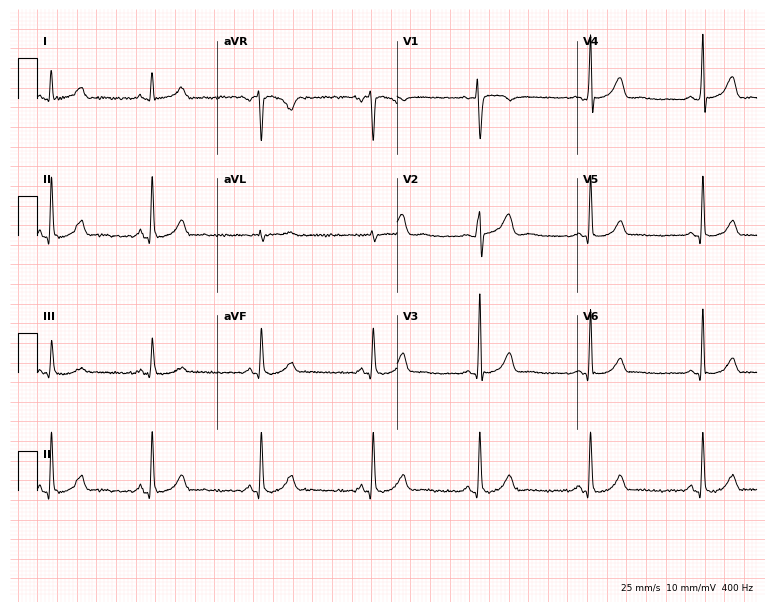
Electrocardiogram, a 47-year-old woman. Of the six screened findings (first-degree AV block, right bundle branch block (RBBB), left bundle branch block (LBBB), sinus bradycardia, atrial fibrillation (AF), sinus tachycardia), none is recorded.